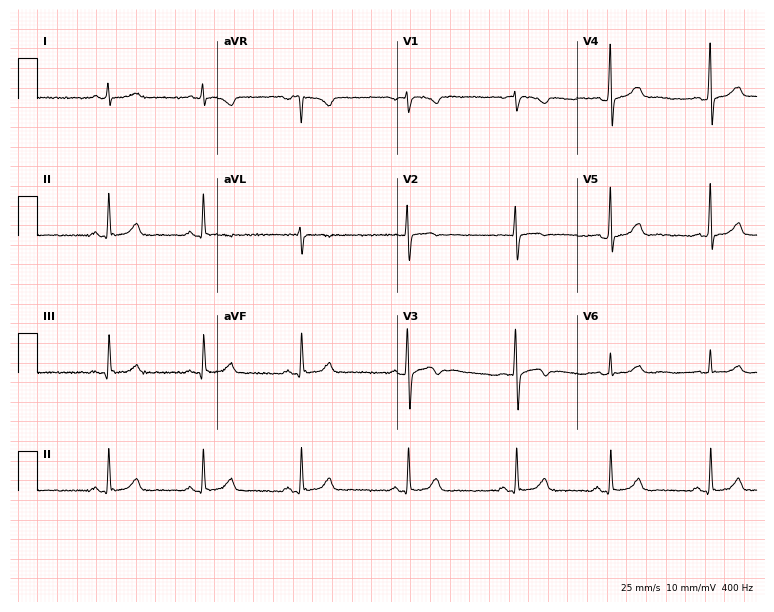
Resting 12-lead electrocardiogram. Patient: a female, 26 years old. Read as a normal ECG.